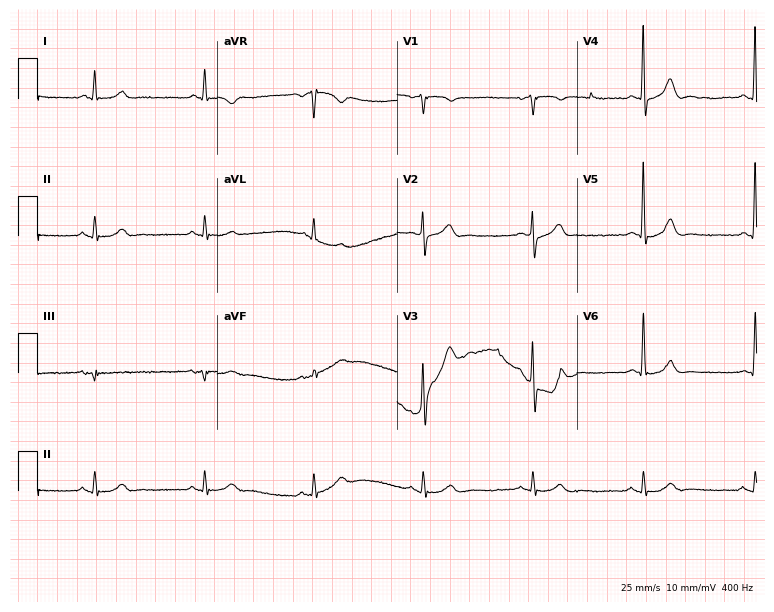
Resting 12-lead electrocardiogram. Patient: a man, 76 years old. Read as a normal ECG.